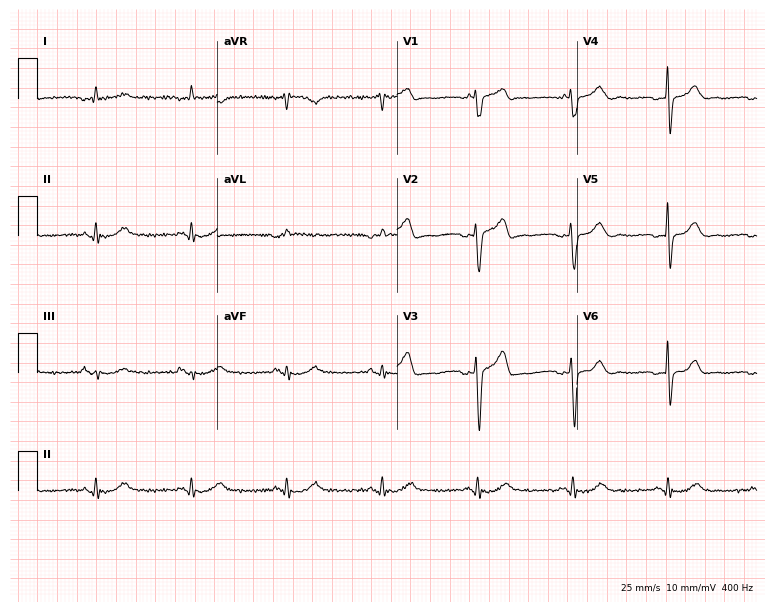
ECG (7.3-second recording at 400 Hz) — a male, 69 years old. Screened for six findings — first-degree AV block, right bundle branch block, left bundle branch block, sinus bradycardia, atrial fibrillation, sinus tachycardia — none is recorded. Findings outside these six are not listed.